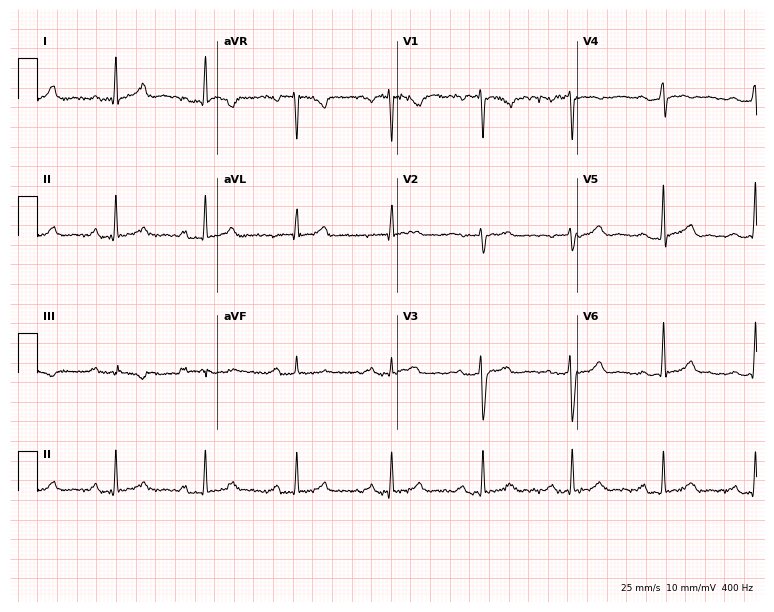
Standard 12-lead ECG recorded from a female, 33 years old (7.3-second recording at 400 Hz). None of these six findings is recorded: first-degree AV block, right bundle branch block, left bundle branch block, sinus bradycardia, atrial fibrillation, sinus tachycardia. Findings outside these six are not listed.